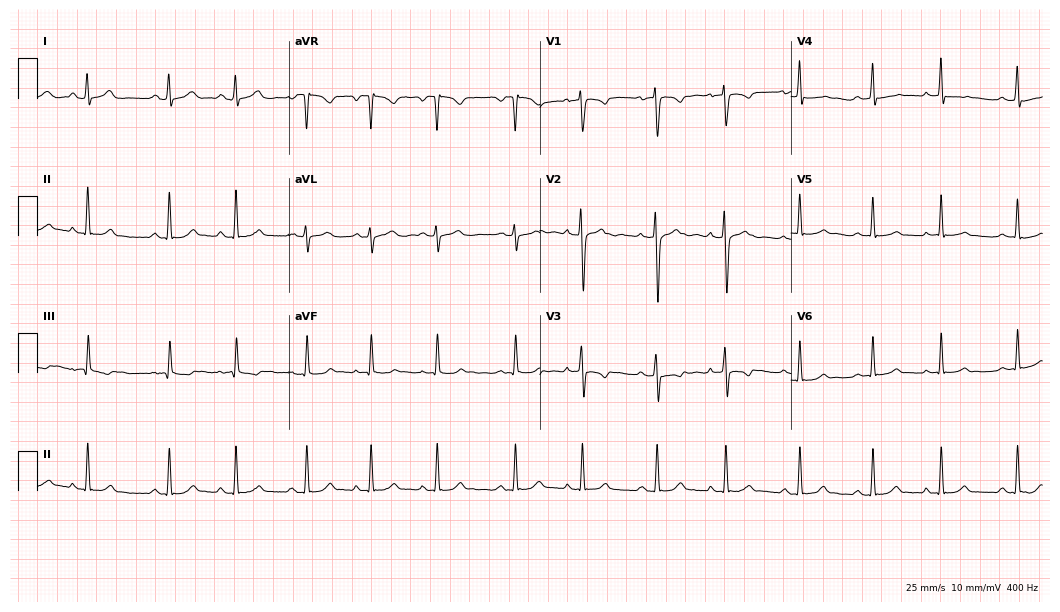
12-lead ECG from a 20-year-old woman. Labelled as a normal ECG.